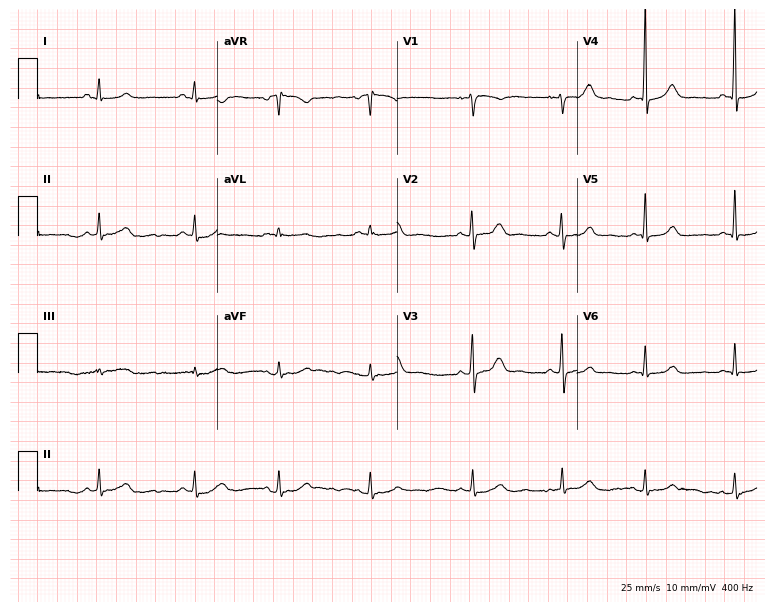
Electrocardiogram (7.3-second recording at 400 Hz), a 23-year-old female. Of the six screened findings (first-degree AV block, right bundle branch block, left bundle branch block, sinus bradycardia, atrial fibrillation, sinus tachycardia), none is recorded. Only these six findings were labelled.